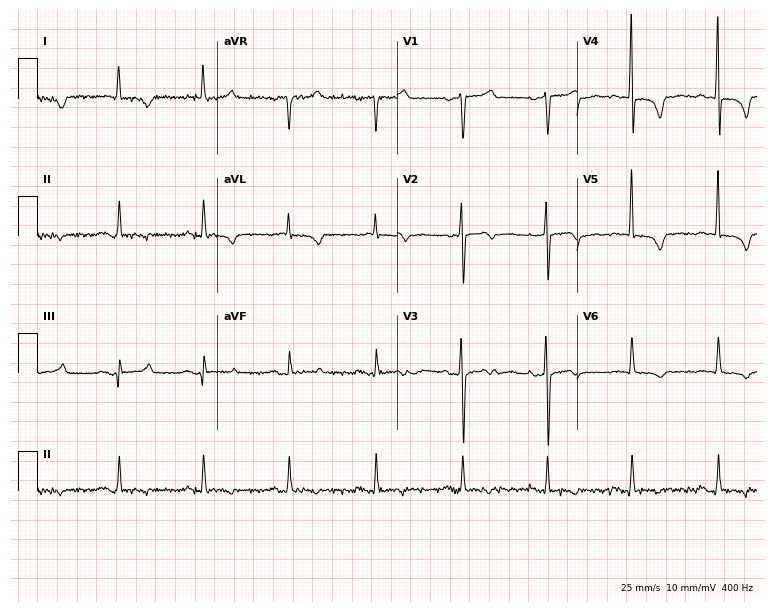
Electrocardiogram, a 61-year-old female patient. Of the six screened findings (first-degree AV block, right bundle branch block (RBBB), left bundle branch block (LBBB), sinus bradycardia, atrial fibrillation (AF), sinus tachycardia), none is recorded.